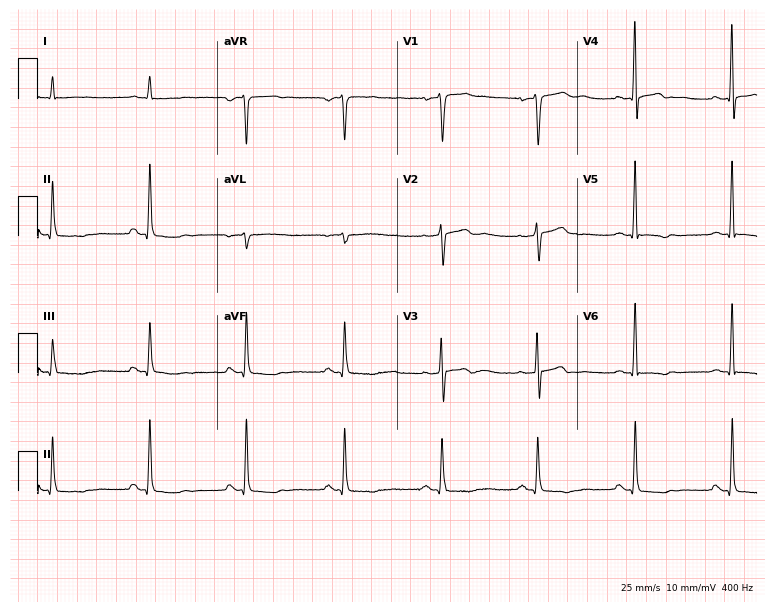
Electrocardiogram (7.3-second recording at 400 Hz), a 69-year-old male. Of the six screened findings (first-degree AV block, right bundle branch block, left bundle branch block, sinus bradycardia, atrial fibrillation, sinus tachycardia), none is recorded.